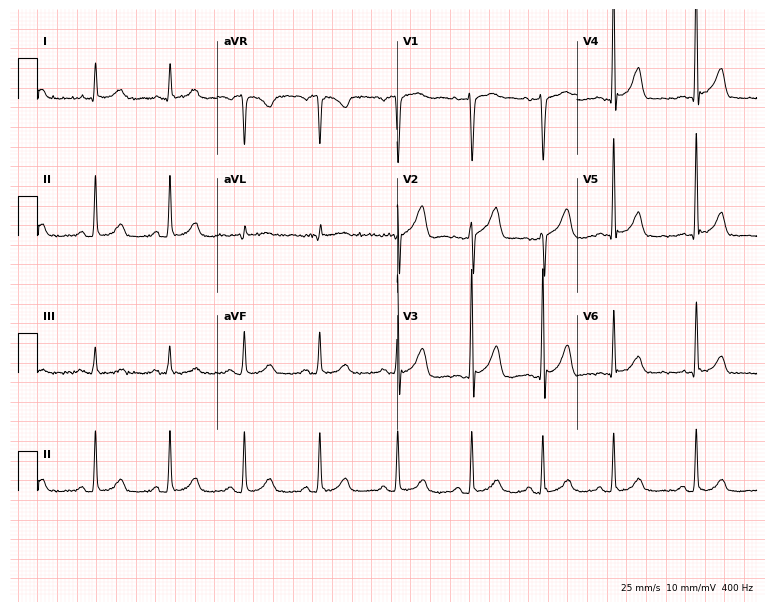
12-lead ECG from a 58-year-old male patient. No first-degree AV block, right bundle branch block (RBBB), left bundle branch block (LBBB), sinus bradycardia, atrial fibrillation (AF) or sinus tachycardia recorded for this tracing.